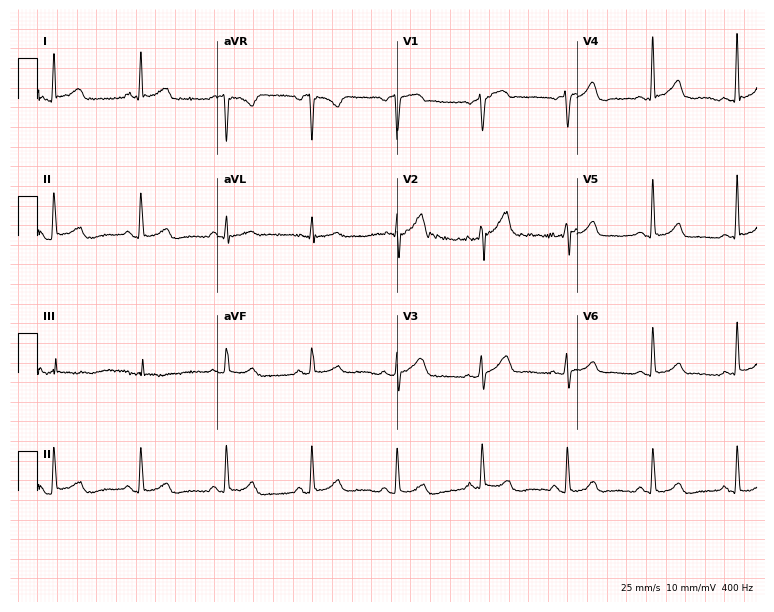
12-lead ECG from a man, 61 years old. Recorded interpretation: within normal limits.